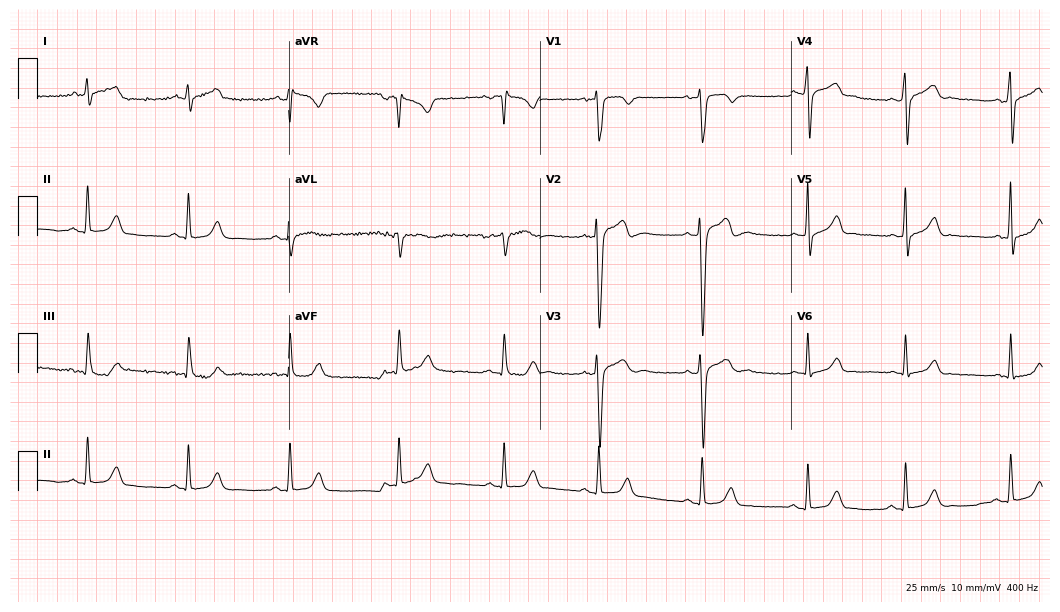
ECG (10.2-second recording at 400 Hz) — a 21-year-old male. Labelled as a normal ECG.